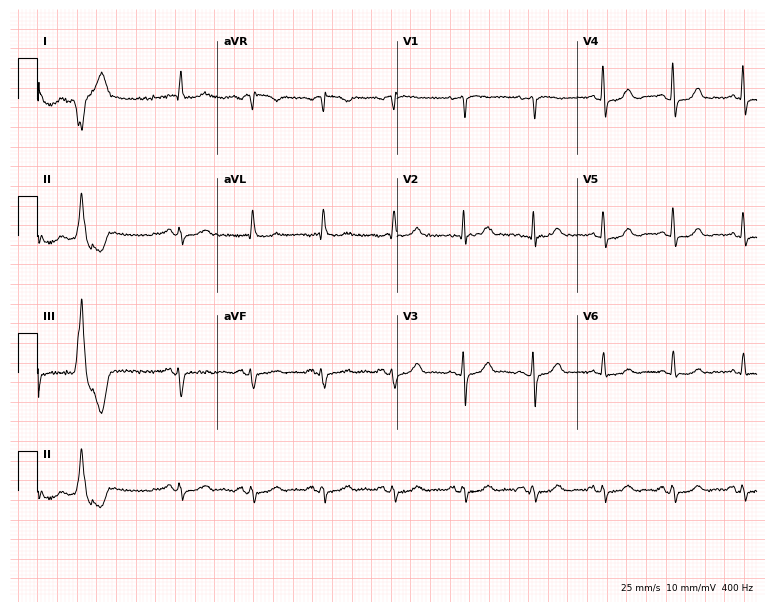
Standard 12-lead ECG recorded from an 80-year-old woman. None of these six findings is recorded: first-degree AV block, right bundle branch block (RBBB), left bundle branch block (LBBB), sinus bradycardia, atrial fibrillation (AF), sinus tachycardia.